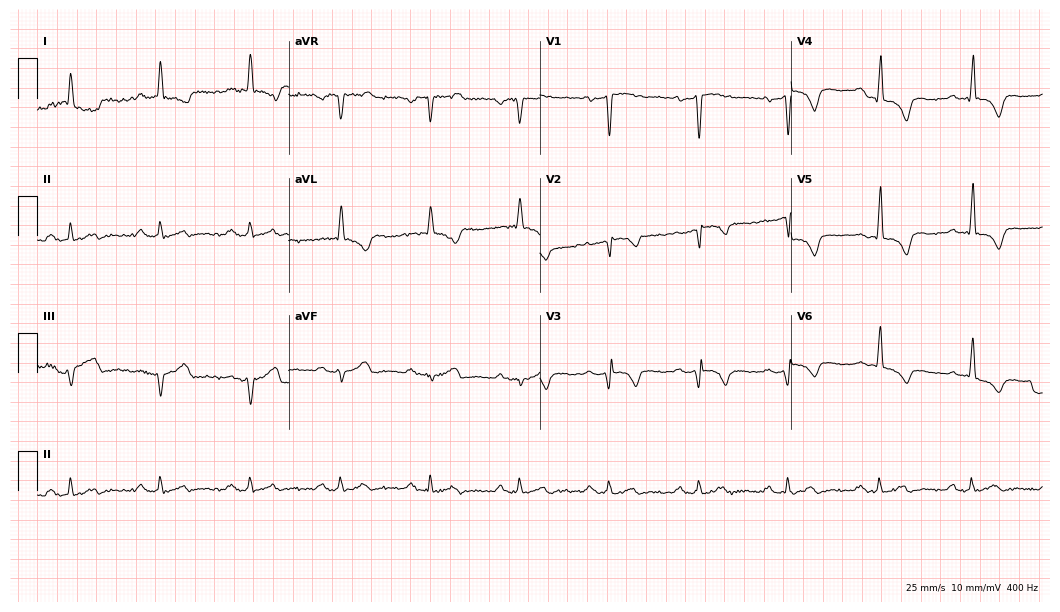
Standard 12-lead ECG recorded from a male patient, 67 years old. None of these six findings is recorded: first-degree AV block, right bundle branch block, left bundle branch block, sinus bradycardia, atrial fibrillation, sinus tachycardia. Other findings, if any, are not listed.